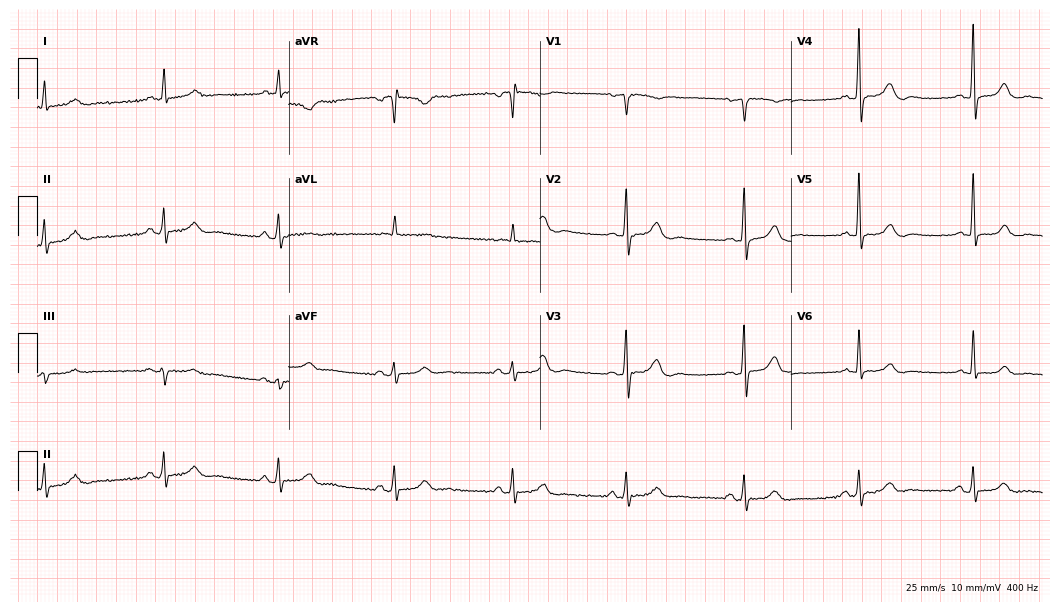
12-lead ECG from a female patient, 74 years old. Recorded interpretation: within normal limits.